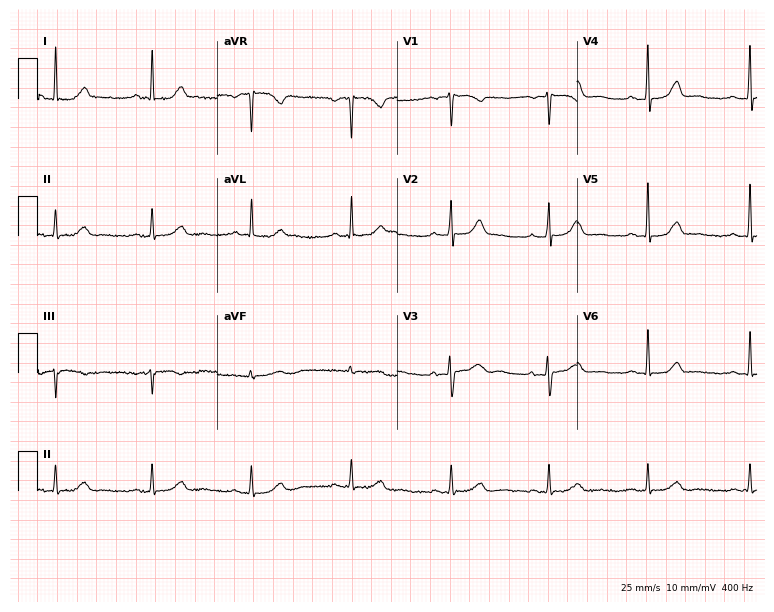
12-lead ECG from a woman, 63 years old. Labelled as a normal ECG.